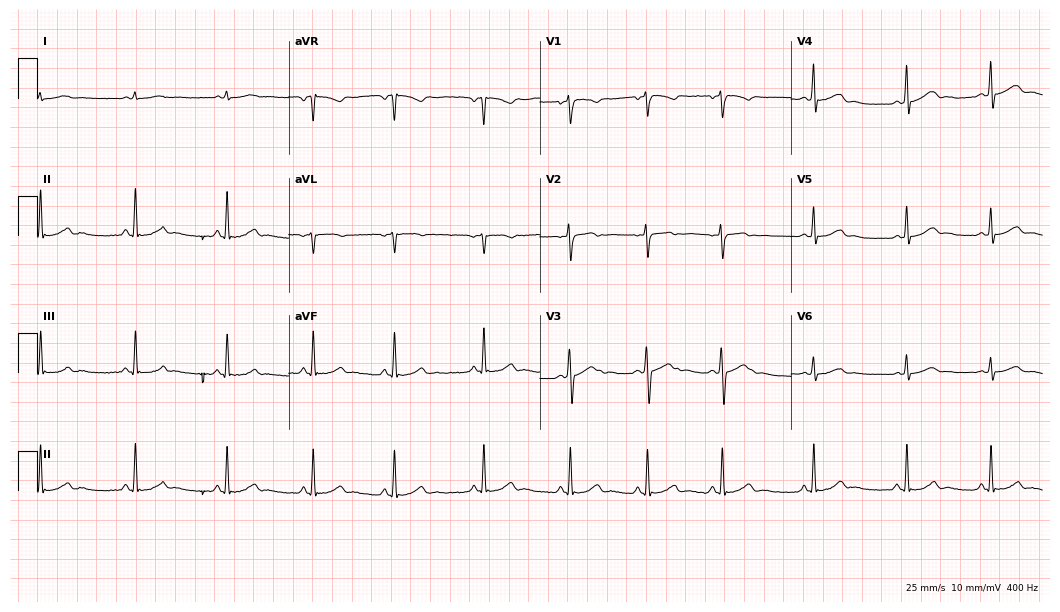
Electrocardiogram, a female, 17 years old. Overall reading on record: normal ECG.